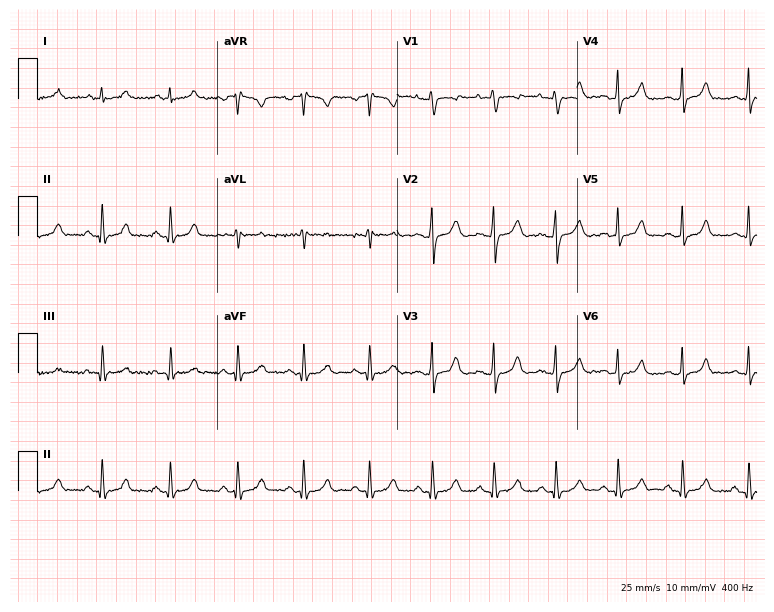
12-lead ECG from a 26-year-old female patient (7.3-second recording at 400 Hz). Recorded interpretation: within normal limits.